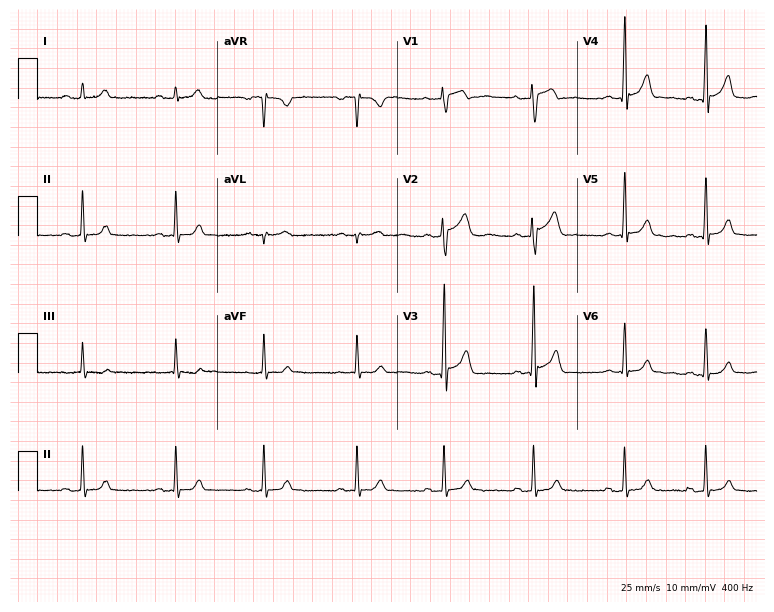
12-lead ECG from a 24-year-old male (7.3-second recording at 400 Hz). No first-degree AV block, right bundle branch block (RBBB), left bundle branch block (LBBB), sinus bradycardia, atrial fibrillation (AF) or sinus tachycardia recorded for this tracing. Findings outside these six are not listed.